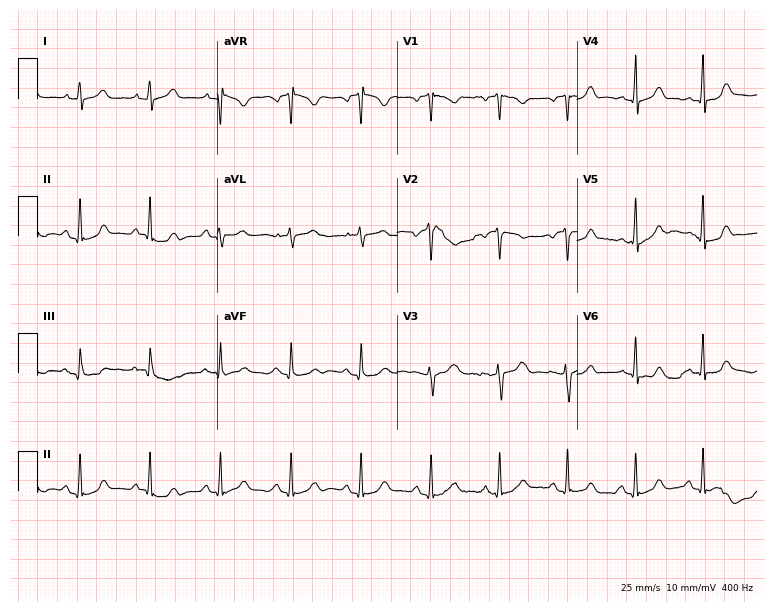
Standard 12-lead ECG recorded from a female, 46 years old (7.3-second recording at 400 Hz). Read as a normal ECG.